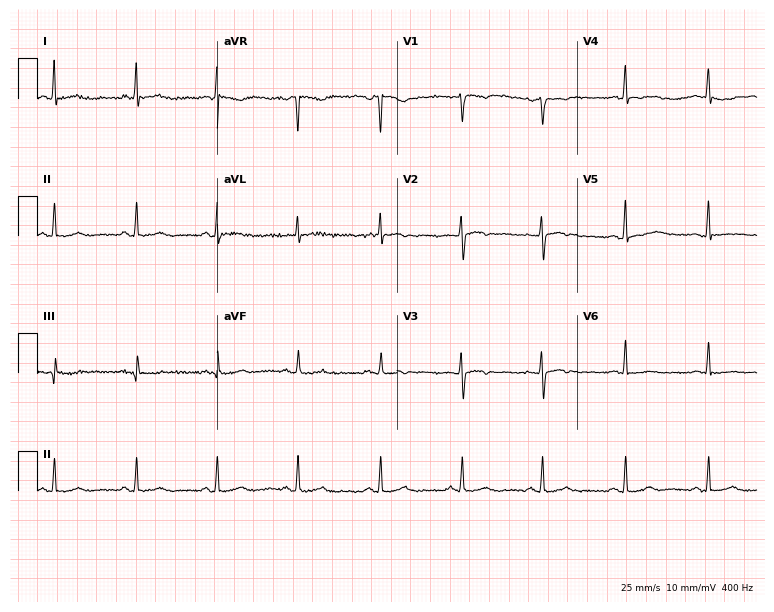
Electrocardiogram, a 45-year-old female patient. Of the six screened findings (first-degree AV block, right bundle branch block, left bundle branch block, sinus bradycardia, atrial fibrillation, sinus tachycardia), none is recorded. Other findings, if any, are not listed.